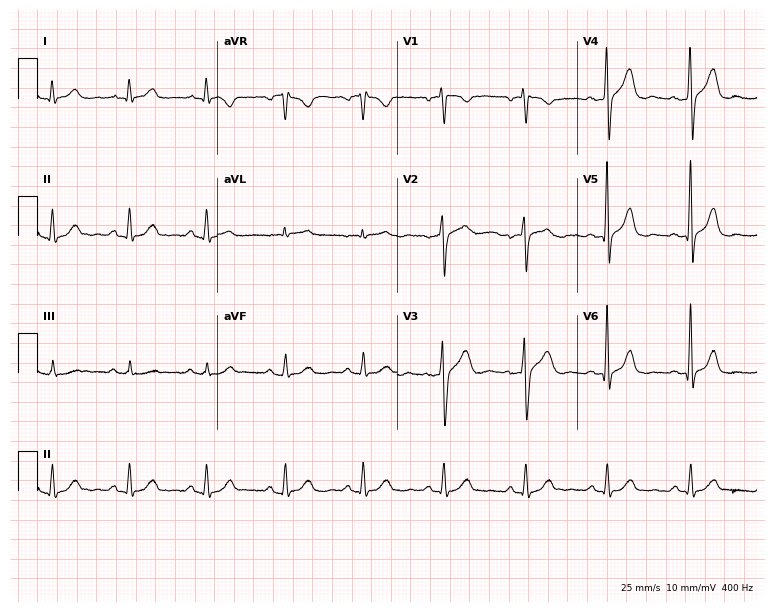
12-lead ECG (7.3-second recording at 400 Hz) from a 50-year-old man. Screened for six findings — first-degree AV block, right bundle branch block, left bundle branch block, sinus bradycardia, atrial fibrillation, sinus tachycardia — none is recorded.